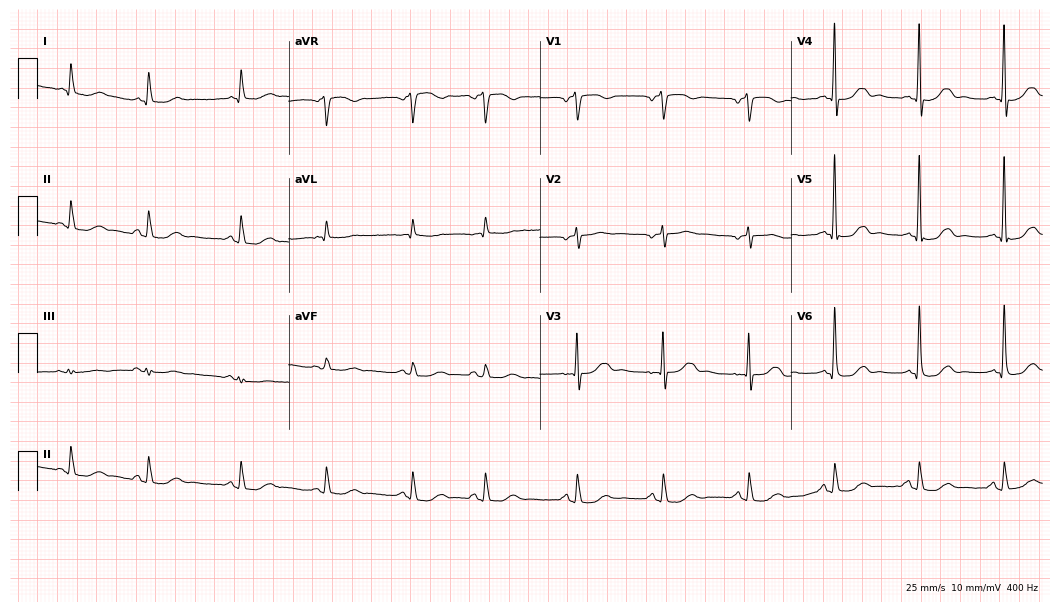
Standard 12-lead ECG recorded from a male, 79 years old (10.2-second recording at 400 Hz). None of these six findings is recorded: first-degree AV block, right bundle branch block (RBBB), left bundle branch block (LBBB), sinus bradycardia, atrial fibrillation (AF), sinus tachycardia.